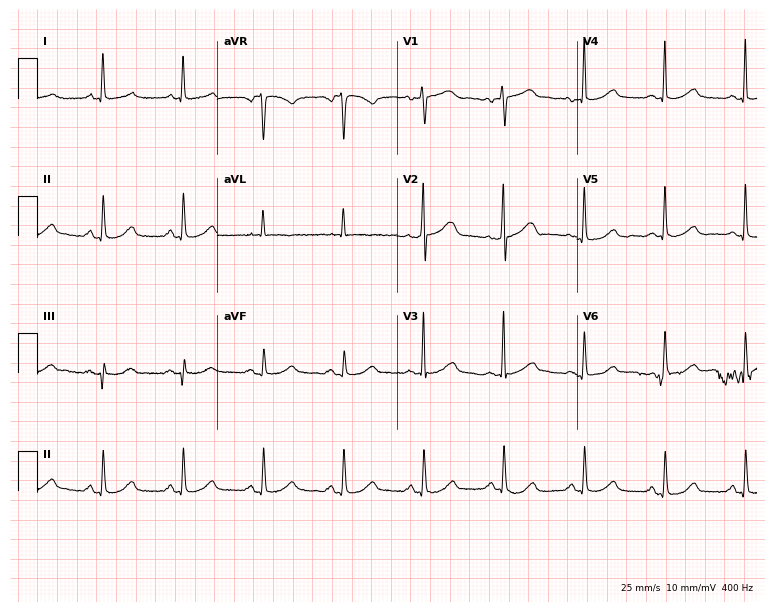
ECG (7.3-second recording at 400 Hz) — a woman, 68 years old. Labelled as a normal ECG.